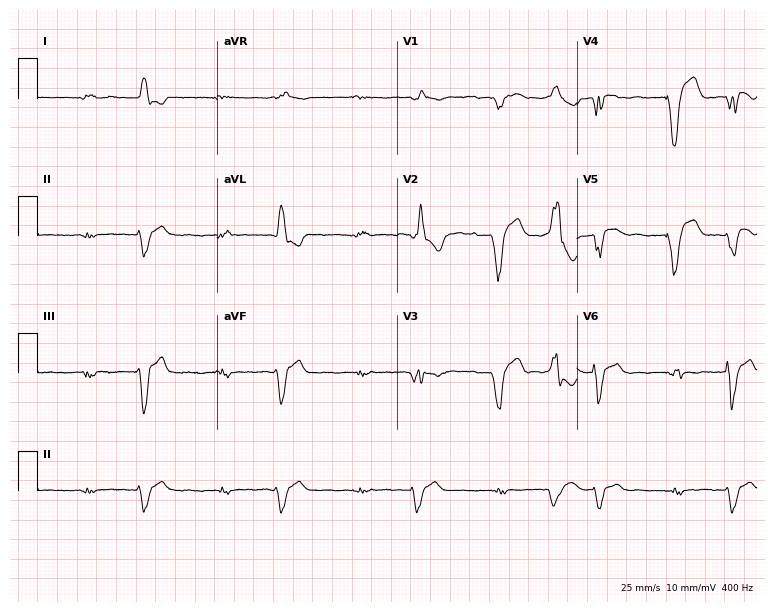
12-lead ECG from a 29-year-old female patient. Shows left bundle branch block, atrial fibrillation.